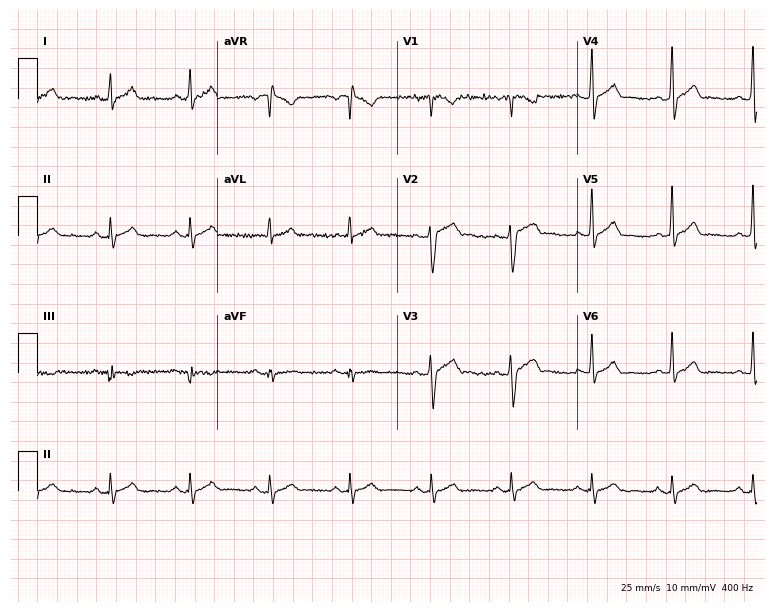
Resting 12-lead electrocardiogram (7.3-second recording at 400 Hz). Patient: a man, 39 years old. None of these six findings is recorded: first-degree AV block, right bundle branch block (RBBB), left bundle branch block (LBBB), sinus bradycardia, atrial fibrillation (AF), sinus tachycardia.